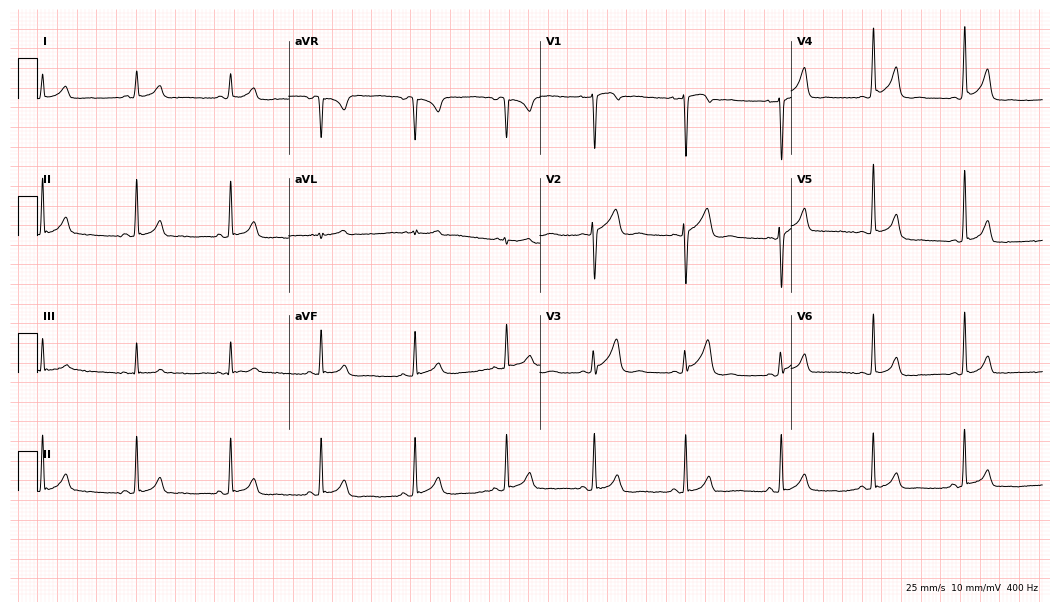
Resting 12-lead electrocardiogram. Patient: a woman, 28 years old. Read as a normal ECG.